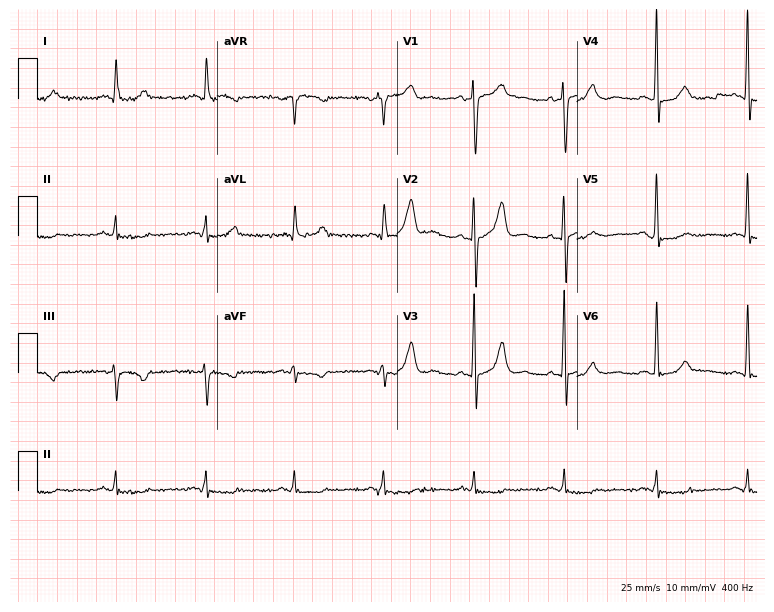
Resting 12-lead electrocardiogram. Patient: a male, 77 years old. None of these six findings is recorded: first-degree AV block, right bundle branch block, left bundle branch block, sinus bradycardia, atrial fibrillation, sinus tachycardia.